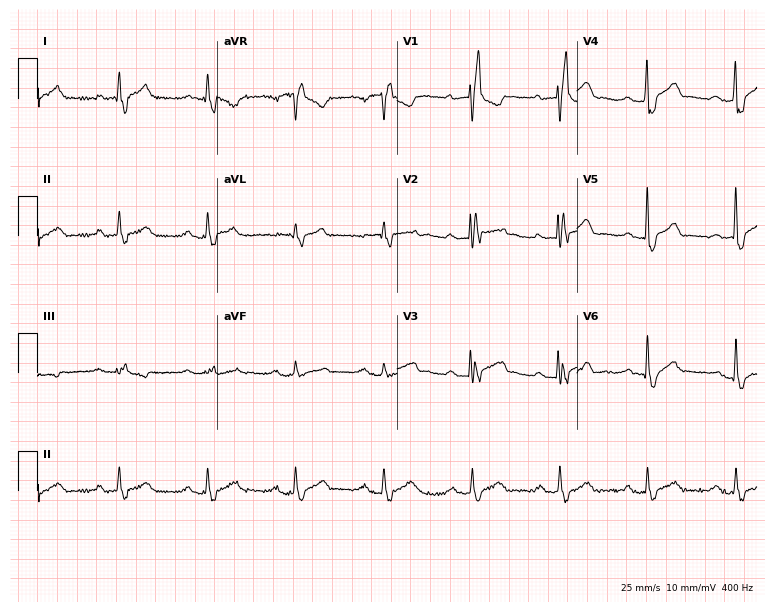
12-lead ECG from a man, 51 years old (7.3-second recording at 400 Hz). Shows first-degree AV block, right bundle branch block (RBBB).